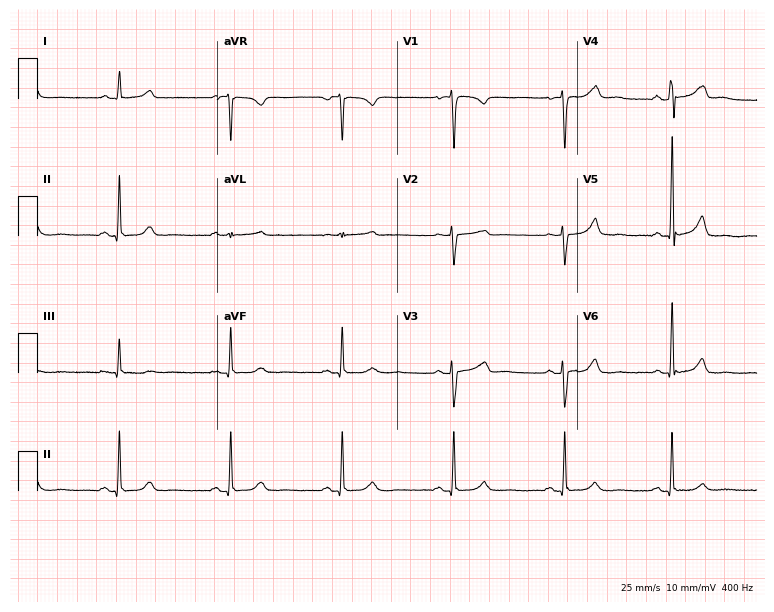
12-lead ECG from a 48-year-old female patient. Labelled as a normal ECG.